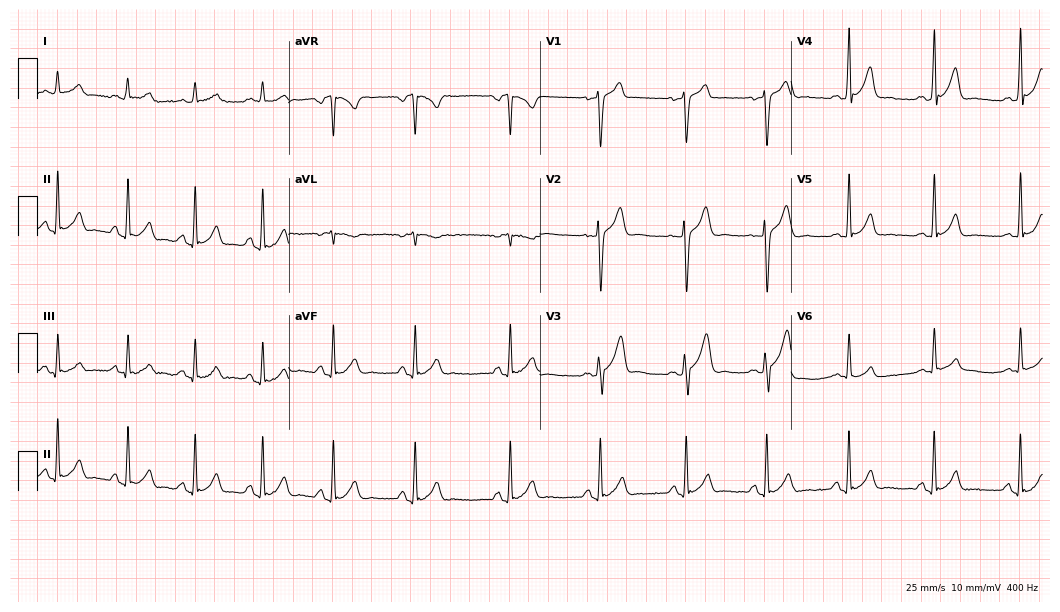
Resting 12-lead electrocardiogram. Patient: a male, 28 years old. None of these six findings is recorded: first-degree AV block, right bundle branch block, left bundle branch block, sinus bradycardia, atrial fibrillation, sinus tachycardia.